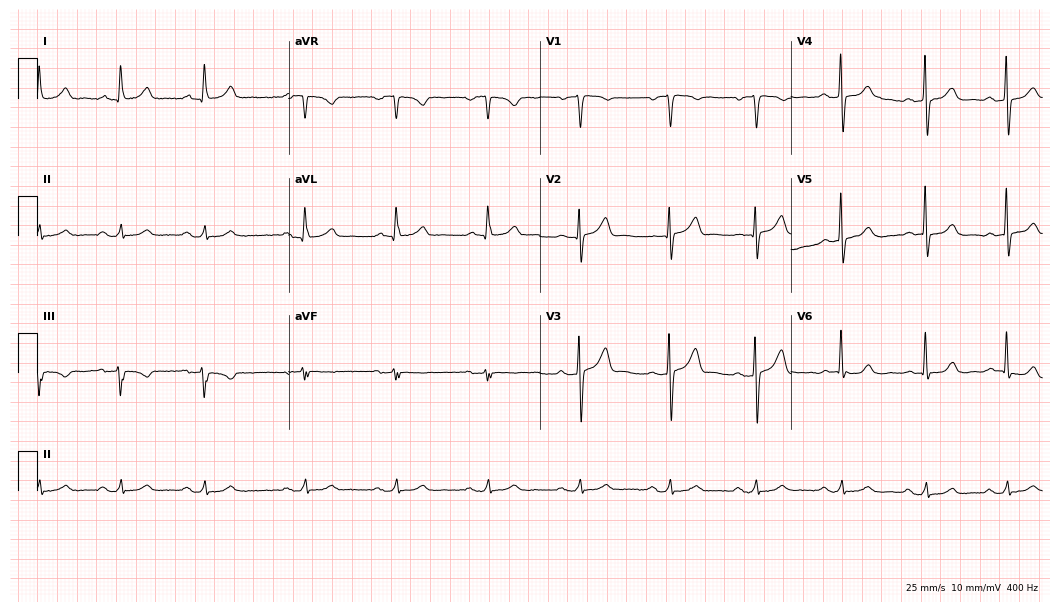
ECG — a 69-year-old male patient. Labelled as a normal ECG.